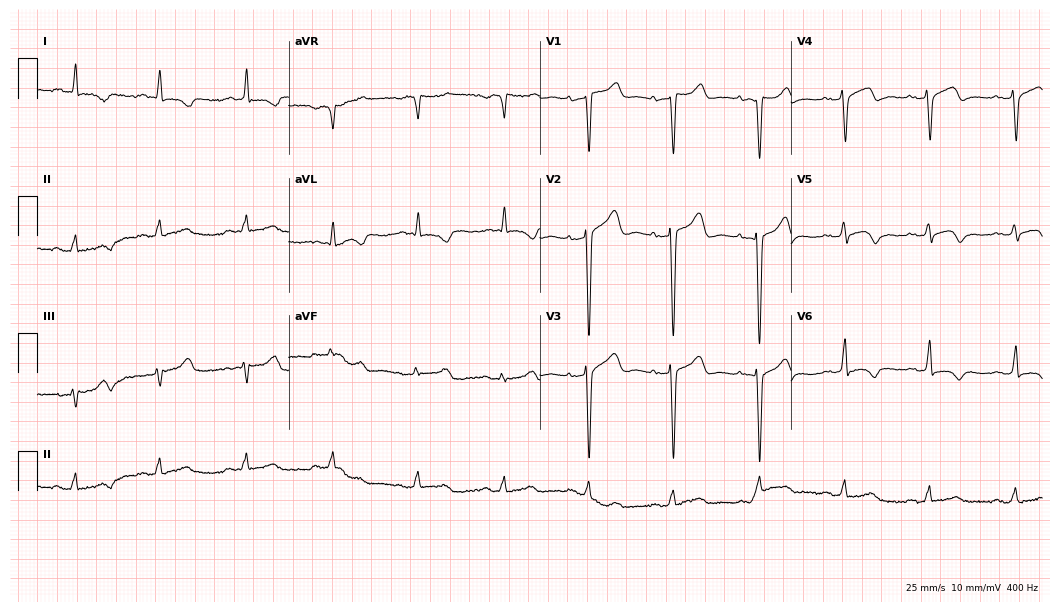
12-lead ECG from a 75-year-old female patient. No first-degree AV block, right bundle branch block, left bundle branch block, sinus bradycardia, atrial fibrillation or sinus tachycardia recorded for this tracing.